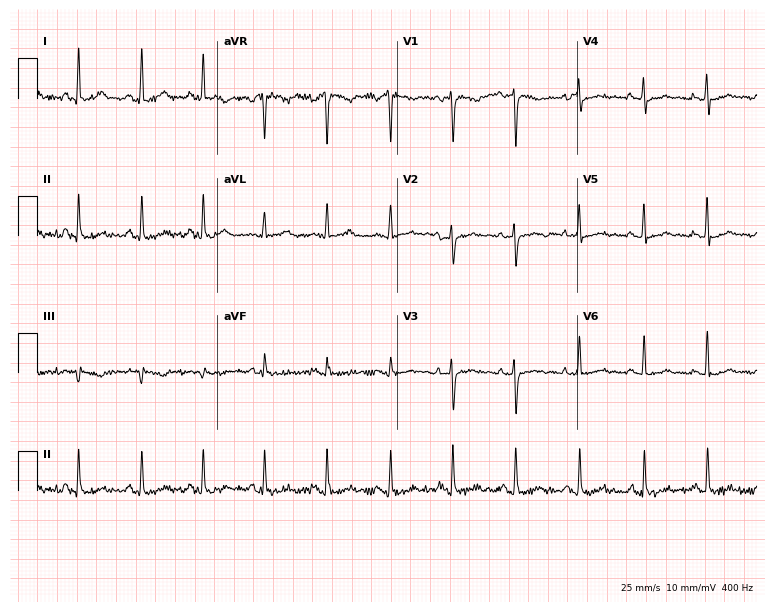
Standard 12-lead ECG recorded from a 28-year-old woman. Read as a normal ECG.